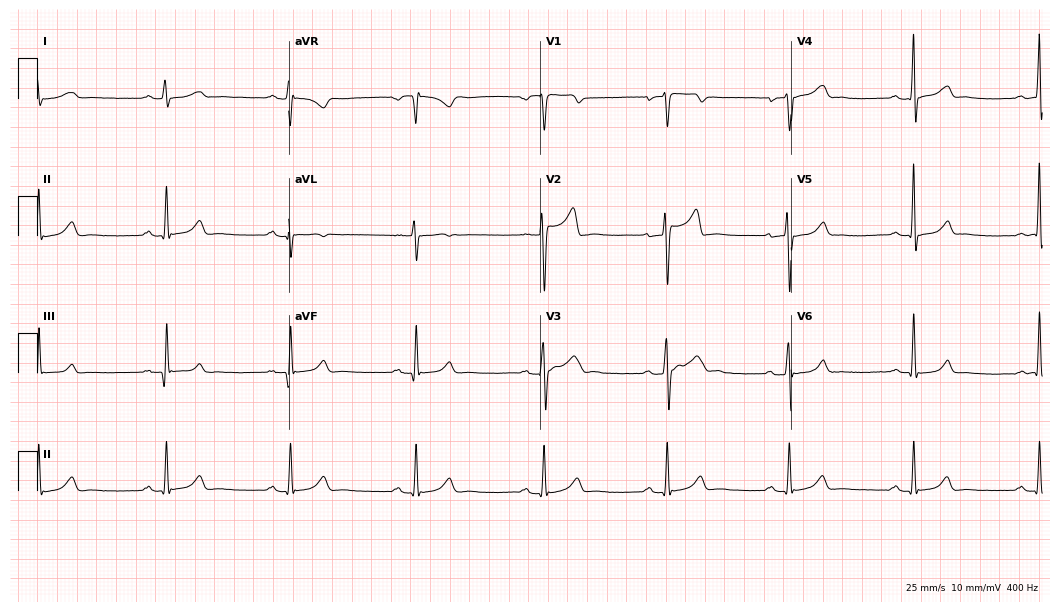
Electrocardiogram, a male patient, 26 years old. Interpretation includes sinus bradycardia (a sinus rate of 50 beats per minute or less).